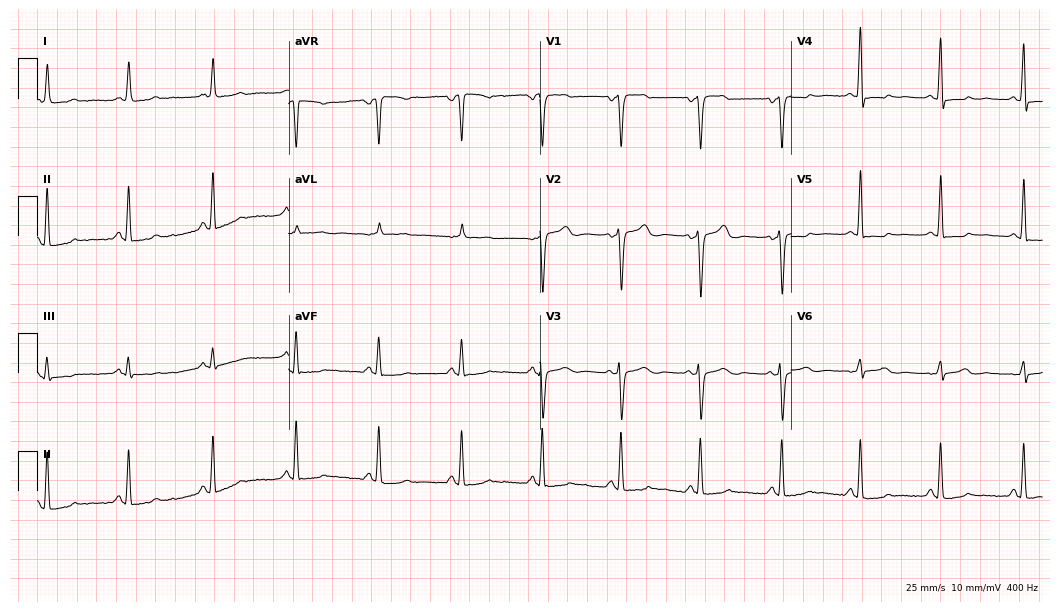
Standard 12-lead ECG recorded from a 44-year-old female patient (10.2-second recording at 400 Hz). Read as a normal ECG.